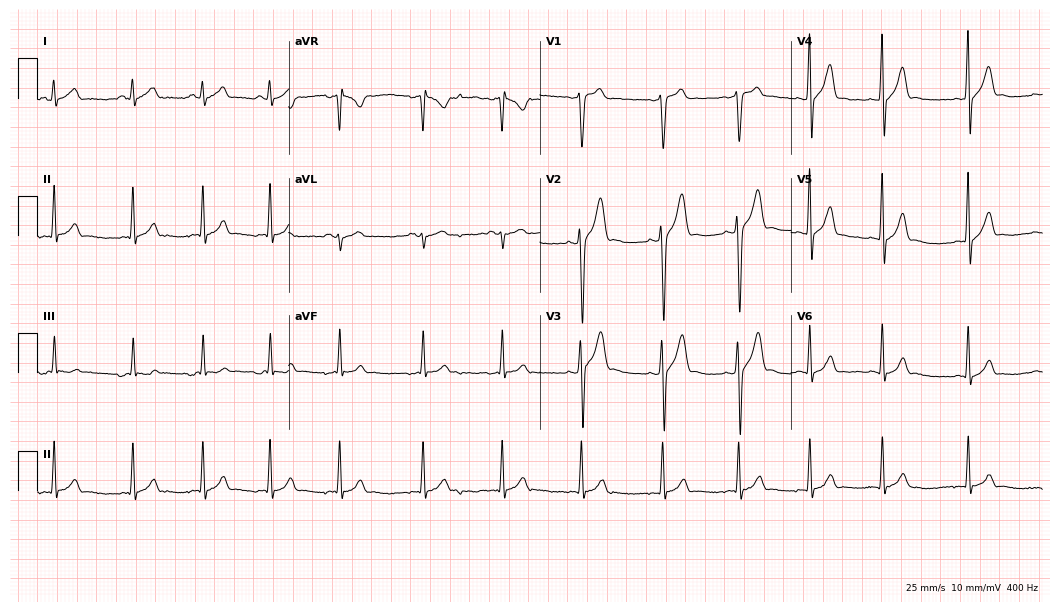
12-lead ECG from an 18-year-old male patient. No first-degree AV block, right bundle branch block (RBBB), left bundle branch block (LBBB), sinus bradycardia, atrial fibrillation (AF) or sinus tachycardia recorded for this tracing.